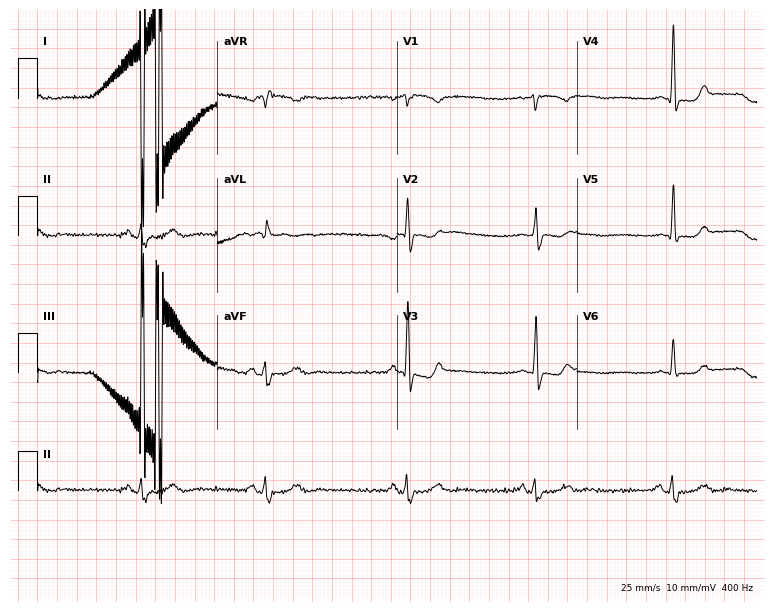
Resting 12-lead electrocardiogram. Patient: a 72-year-old male. None of these six findings is recorded: first-degree AV block, right bundle branch block, left bundle branch block, sinus bradycardia, atrial fibrillation, sinus tachycardia. Findings outside these six are not listed.